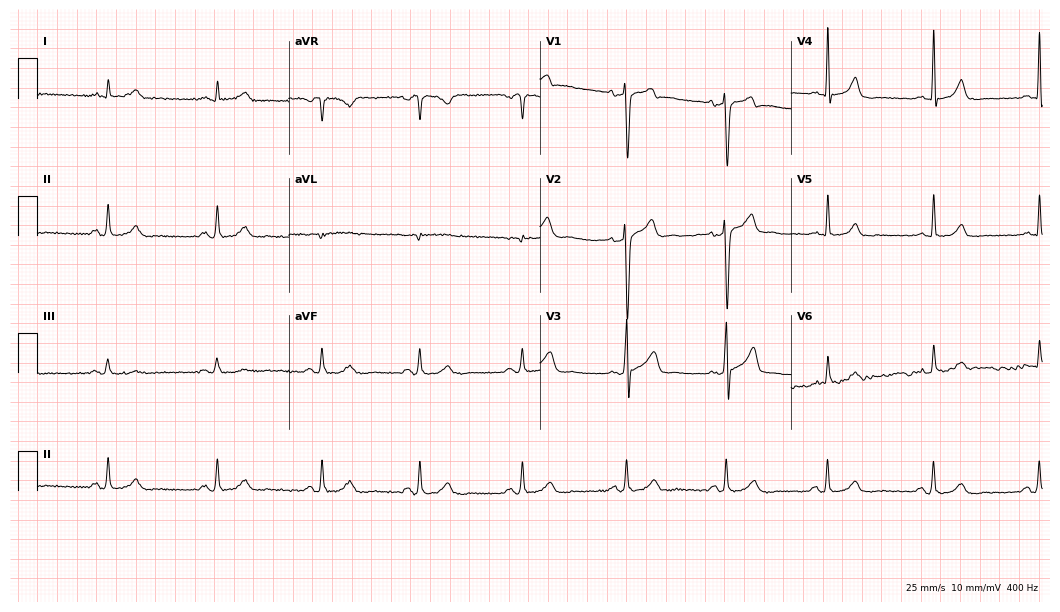
12-lead ECG from a 56-year-old male patient (10.2-second recording at 400 Hz). Recorded interpretation: within normal limits.